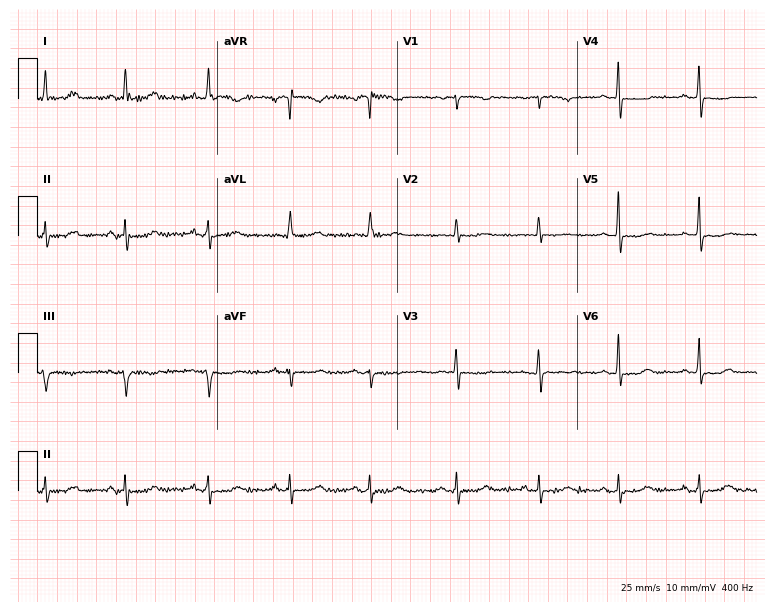
Standard 12-lead ECG recorded from a male patient, 68 years old. None of these six findings is recorded: first-degree AV block, right bundle branch block, left bundle branch block, sinus bradycardia, atrial fibrillation, sinus tachycardia. Other findings, if any, are not listed.